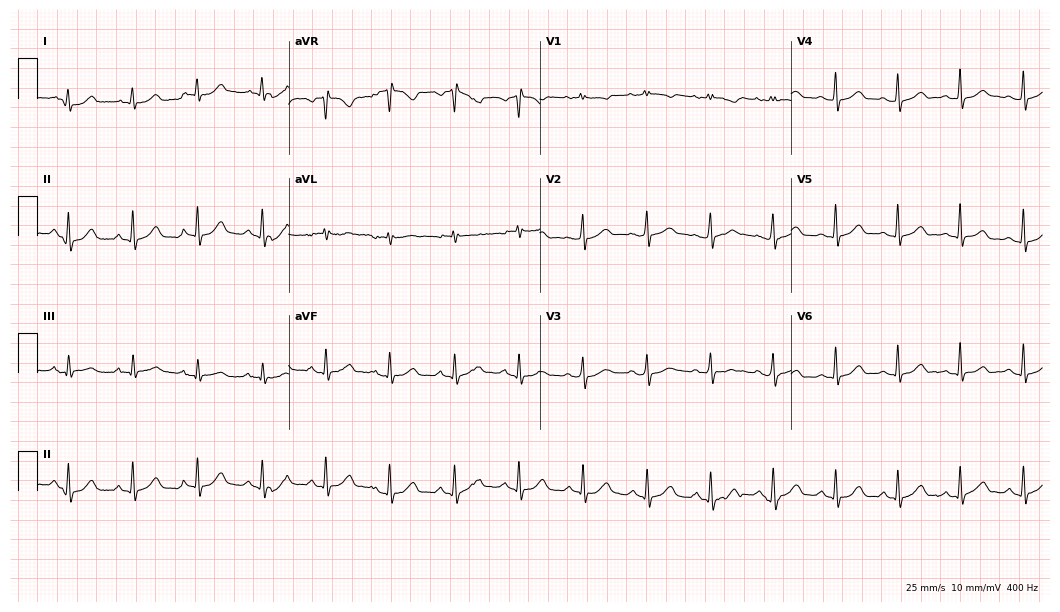
ECG — a 56-year-old female patient. Labelled as a normal ECG.